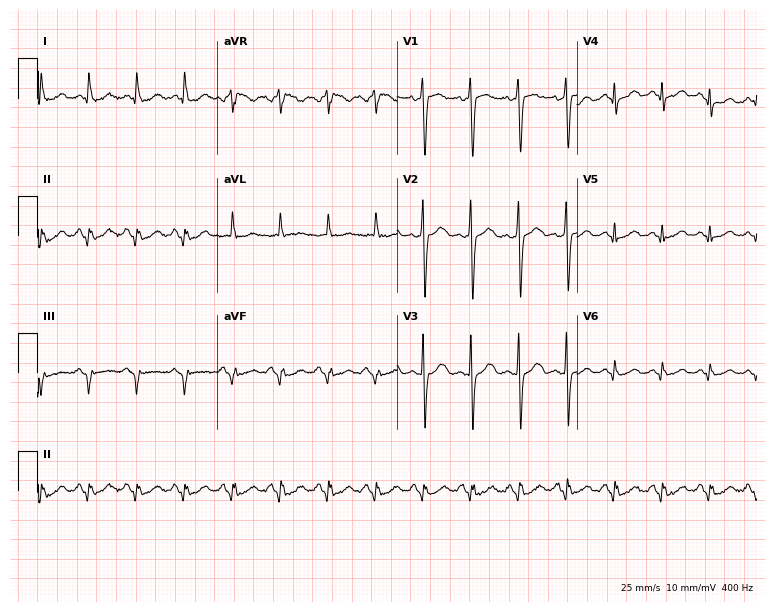
Electrocardiogram (7.3-second recording at 400 Hz), a male patient, 61 years old. Interpretation includes sinus tachycardia (a sinus rate of 100 beats per minute or more).